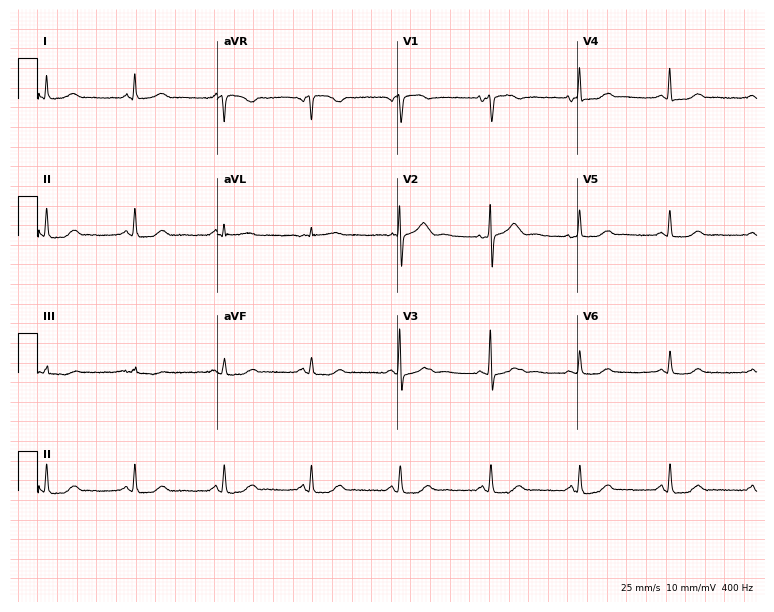
ECG — a female, 76 years old. Screened for six findings — first-degree AV block, right bundle branch block (RBBB), left bundle branch block (LBBB), sinus bradycardia, atrial fibrillation (AF), sinus tachycardia — none is recorded. Findings outside these six are not listed.